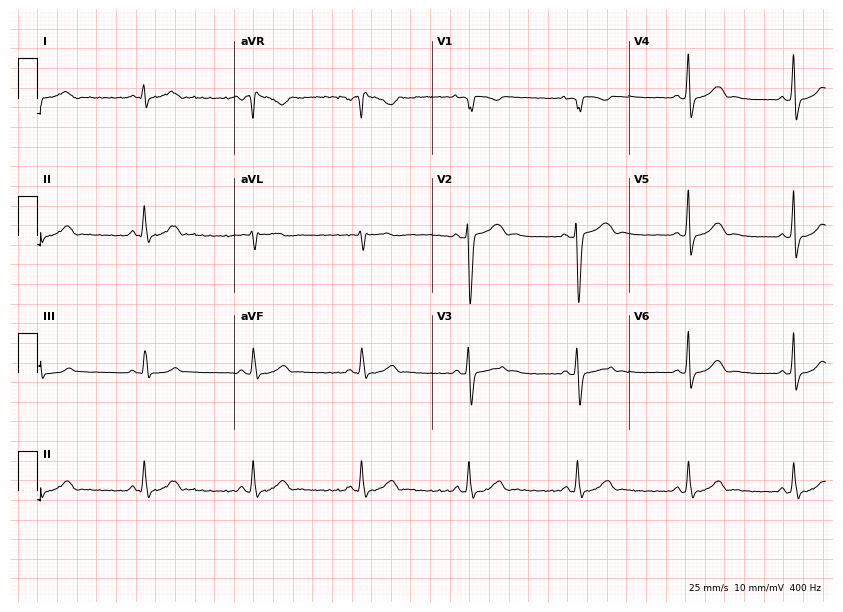
Electrocardiogram, a 21-year-old female patient. Overall reading on record: normal ECG.